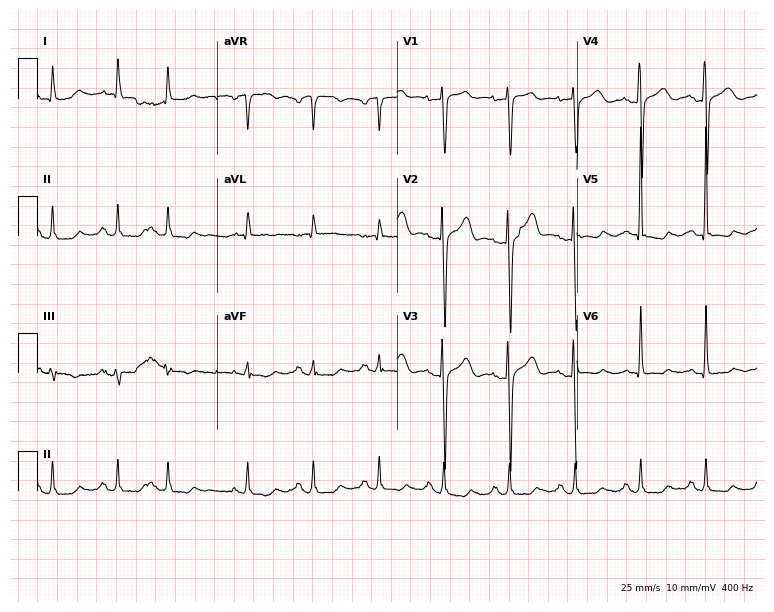
ECG — a man, 64 years old. Screened for six findings — first-degree AV block, right bundle branch block, left bundle branch block, sinus bradycardia, atrial fibrillation, sinus tachycardia — none is recorded.